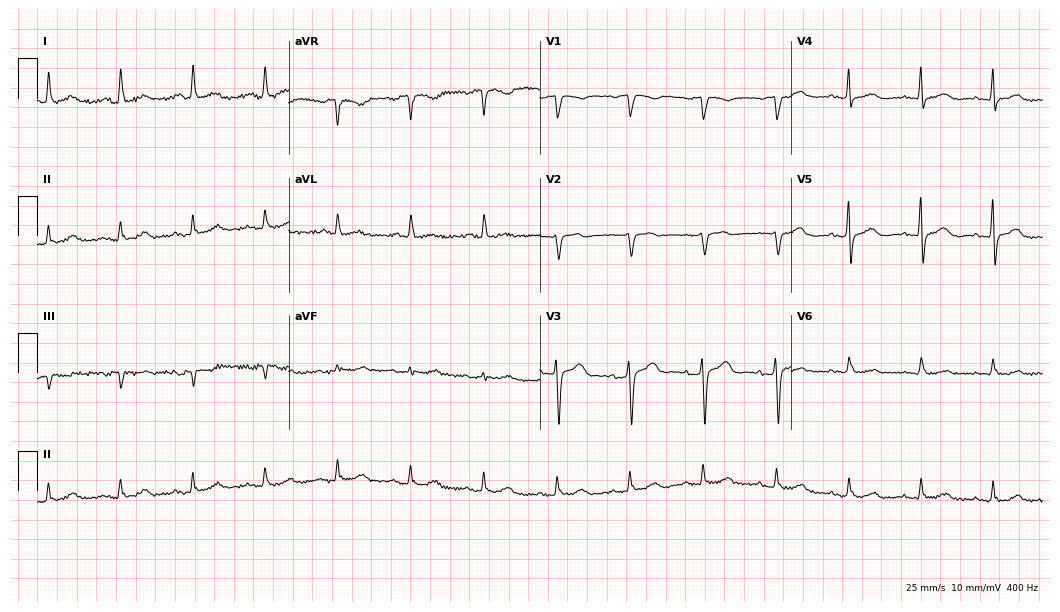
12-lead ECG (10.2-second recording at 400 Hz) from a 67-year-old female. Labelled as a normal ECG.